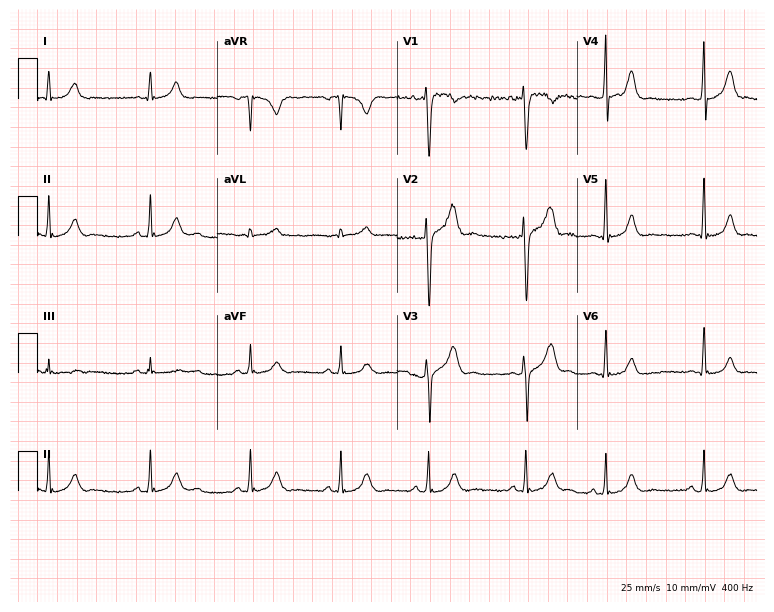
Standard 12-lead ECG recorded from a 23-year-old male patient (7.3-second recording at 400 Hz). Read as a normal ECG.